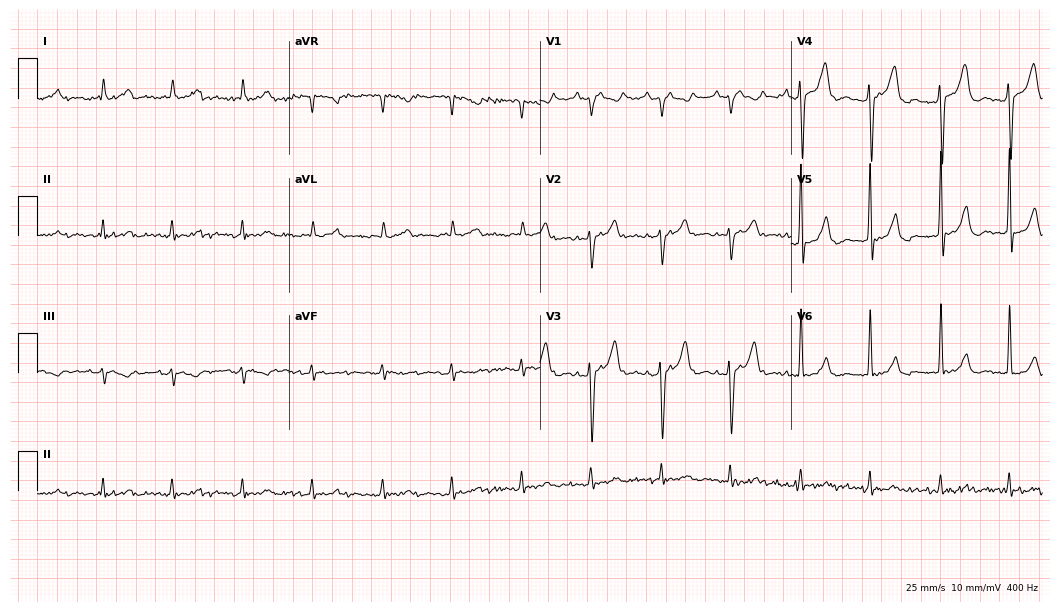
Standard 12-lead ECG recorded from an 84-year-old man. None of these six findings is recorded: first-degree AV block, right bundle branch block (RBBB), left bundle branch block (LBBB), sinus bradycardia, atrial fibrillation (AF), sinus tachycardia.